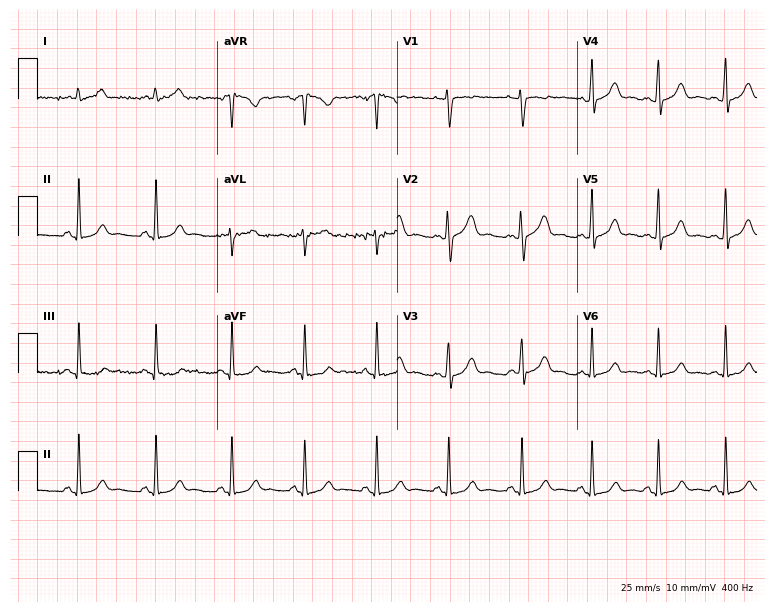
12-lead ECG from a female, 25 years old (7.3-second recording at 400 Hz). Recorded interpretation: within normal limits.